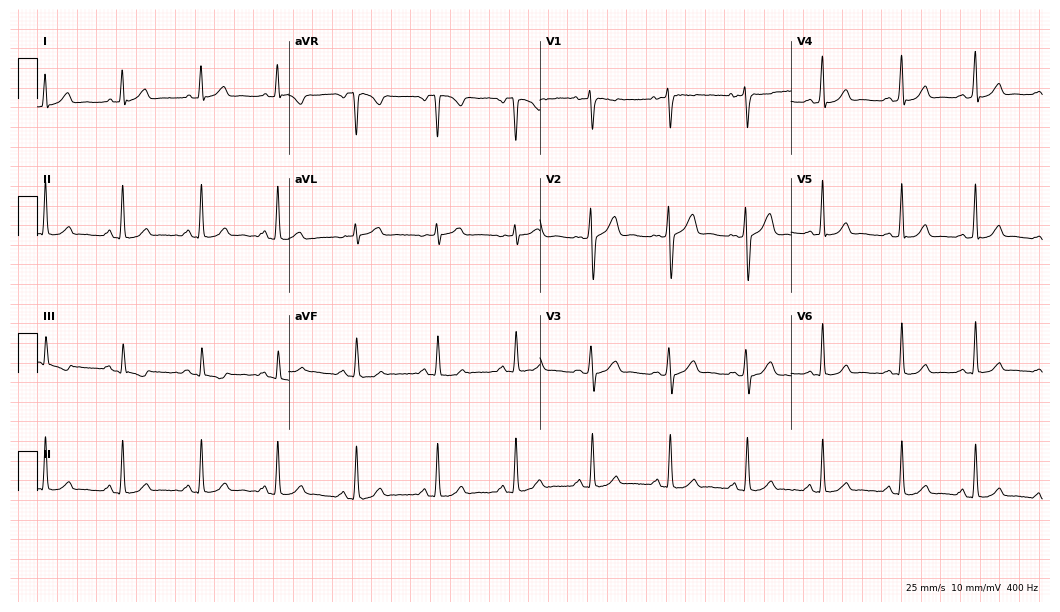
12-lead ECG from a 32-year-old woman. Labelled as a normal ECG.